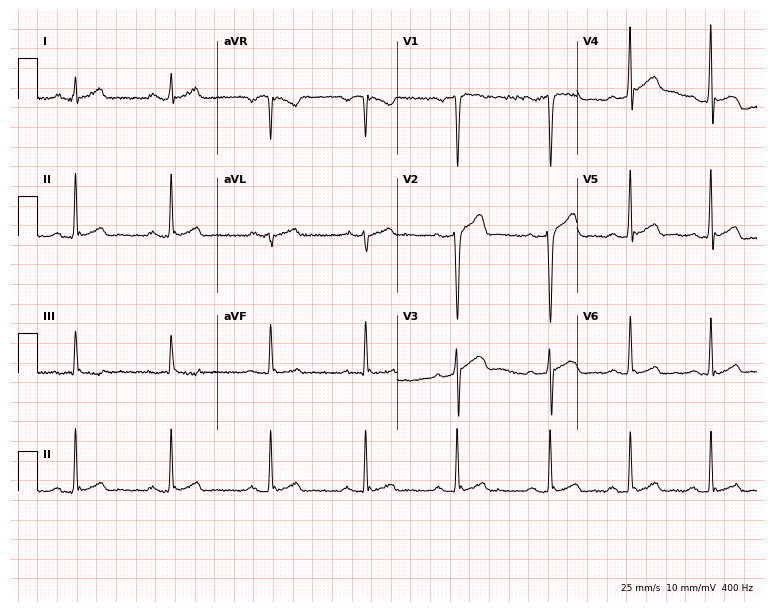
12-lead ECG from a man, 33 years old (7.3-second recording at 400 Hz). No first-degree AV block, right bundle branch block, left bundle branch block, sinus bradycardia, atrial fibrillation or sinus tachycardia recorded for this tracing.